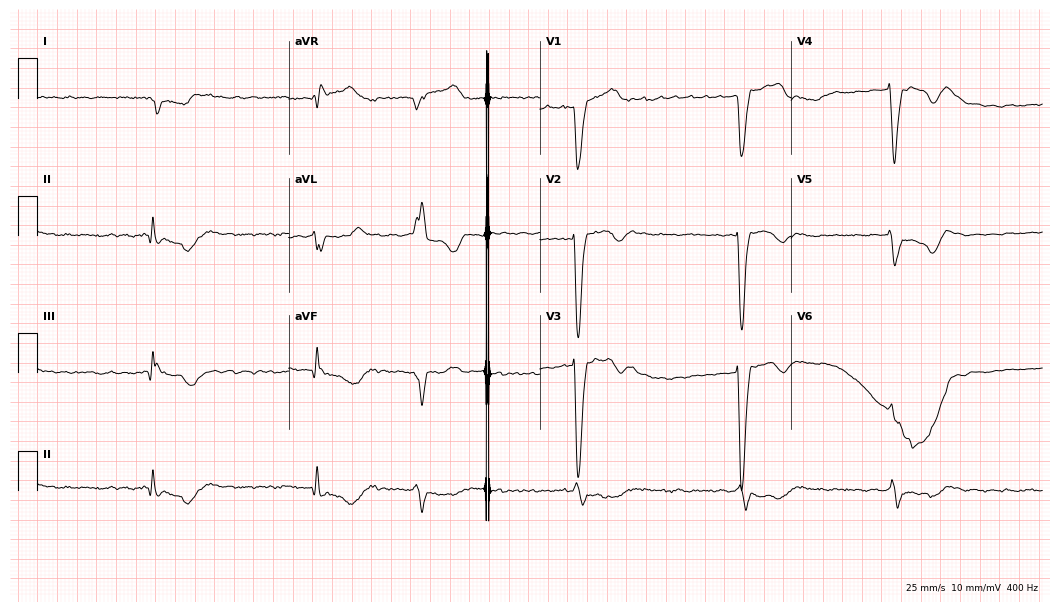
ECG (10.2-second recording at 400 Hz) — a female, 71 years old. Findings include right bundle branch block (RBBB), atrial fibrillation (AF).